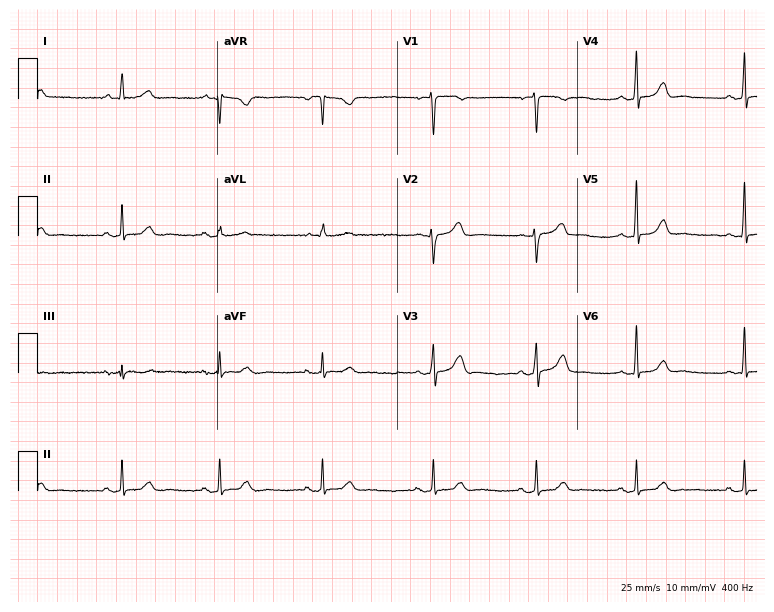
Standard 12-lead ECG recorded from a female patient, 49 years old. Read as a normal ECG.